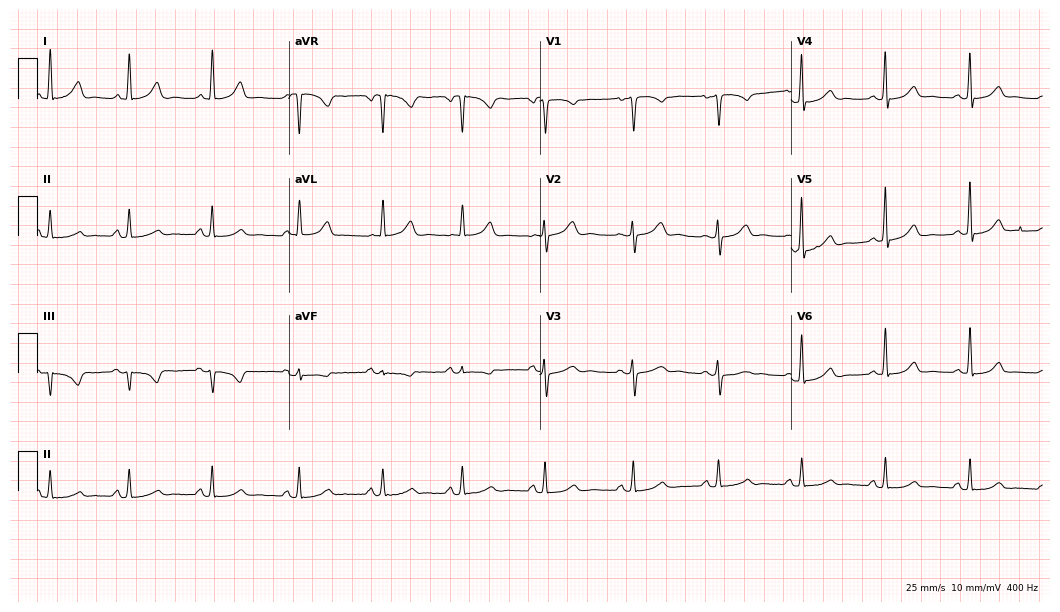
Resting 12-lead electrocardiogram (10.2-second recording at 400 Hz). Patient: a 47-year-old woman. Read as a normal ECG.